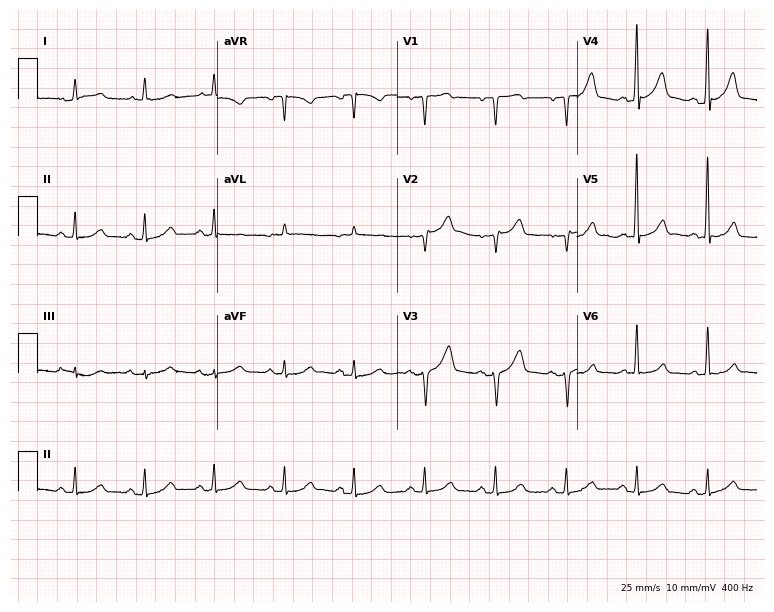
Resting 12-lead electrocardiogram. Patient: a 69-year-old male. Read as a normal ECG.